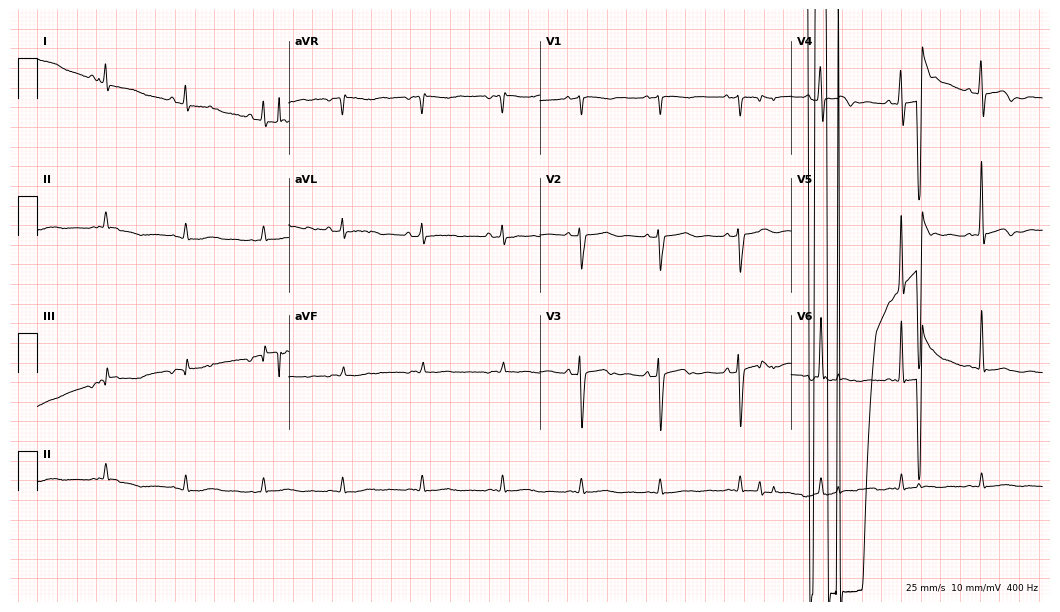
12-lead ECG from a 75-year-old female. No first-degree AV block, right bundle branch block, left bundle branch block, sinus bradycardia, atrial fibrillation or sinus tachycardia recorded for this tracing. Only these six findings were labelled.